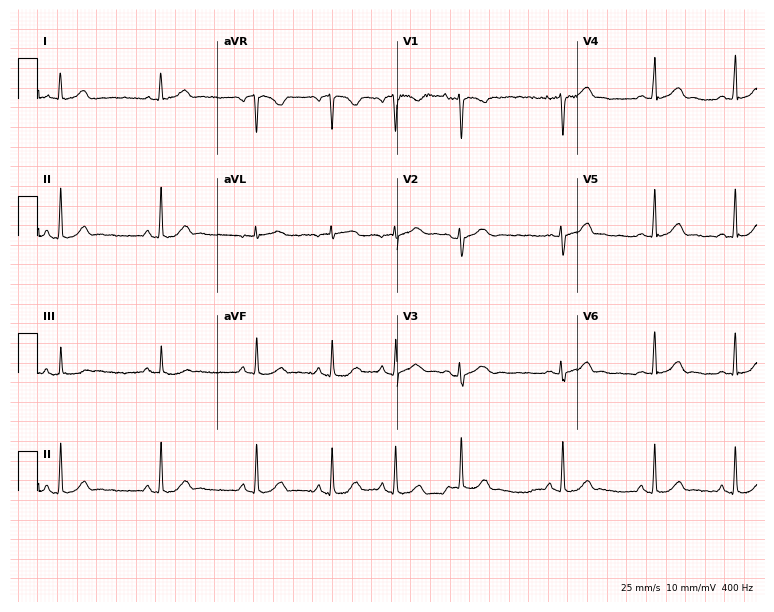
Electrocardiogram, a 23-year-old female patient. Overall reading on record: normal ECG.